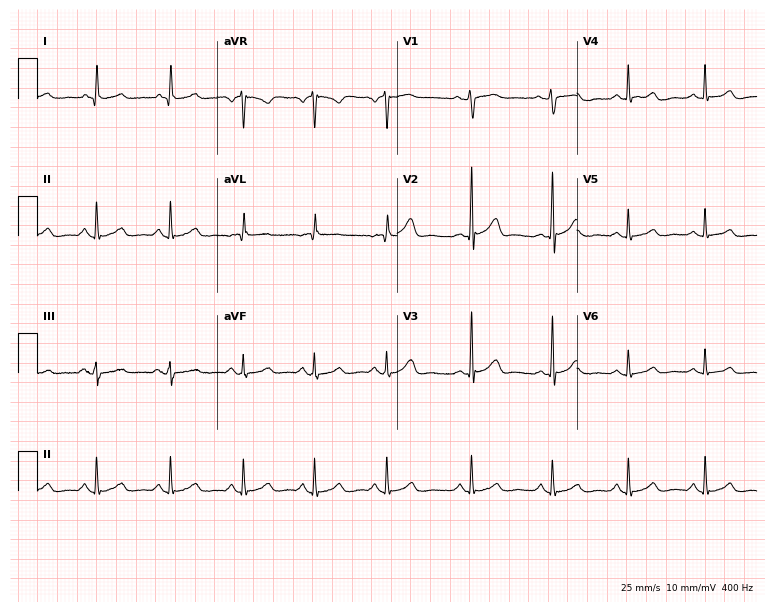
12-lead ECG (7.3-second recording at 400 Hz) from a 62-year-old female. Labelled as a normal ECG.